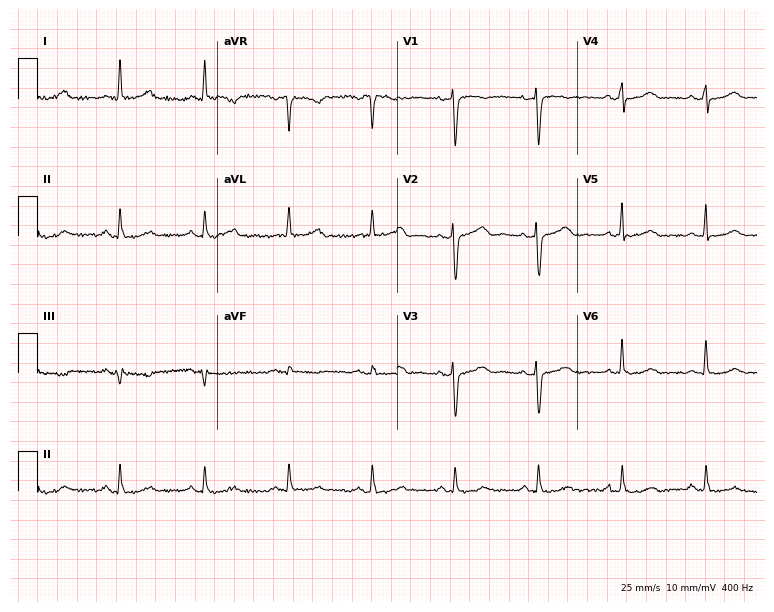
Standard 12-lead ECG recorded from a 57-year-old female patient (7.3-second recording at 400 Hz). Read as a normal ECG.